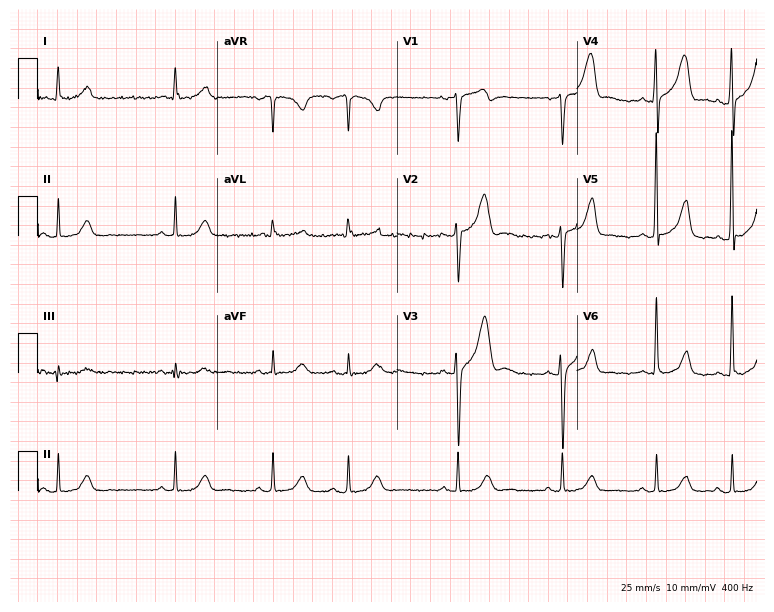
12-lead ECG from a 65-year-old male patient. Recorded interpretation: within normal limits.